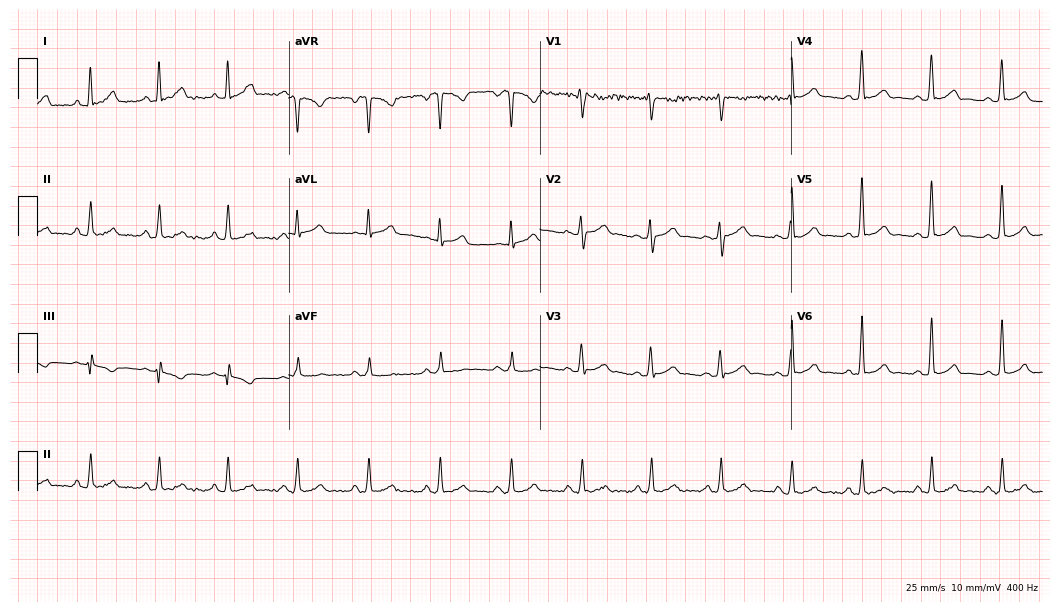
12-lead ECG from a male, 30 years old (10.2-second recording at 400 Hz). Recorded interpretation: within normal limits.